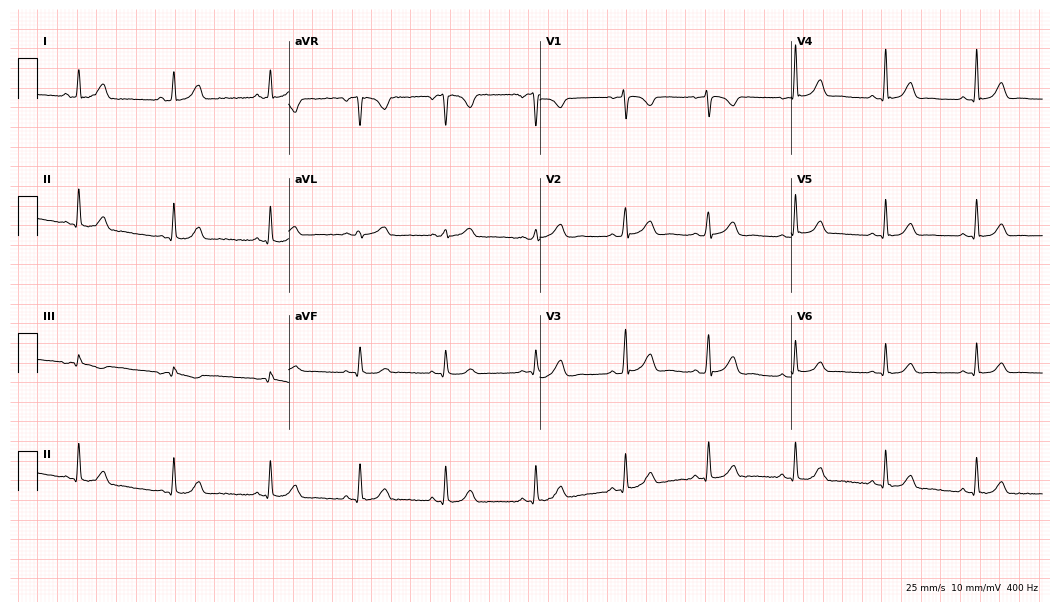
ECG (10.2-second recording at 400 Hz) — a 24-year-old female. Labelled as a normal ECG.